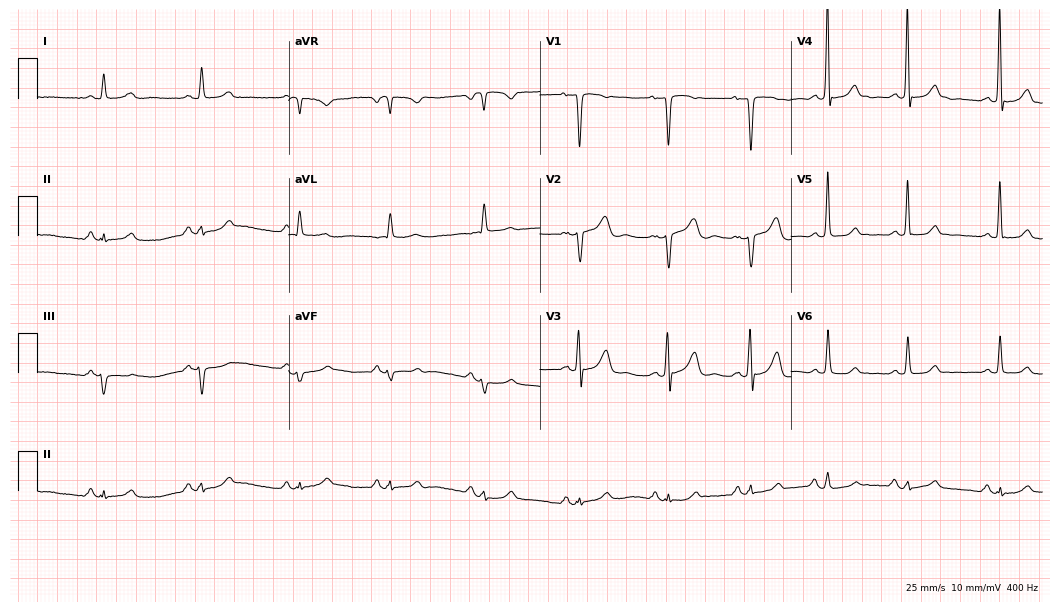
12-lead ECG (10.2-second recording at 400 Hz) from a 41-year-old female patient. Labelled as a normal ECG.